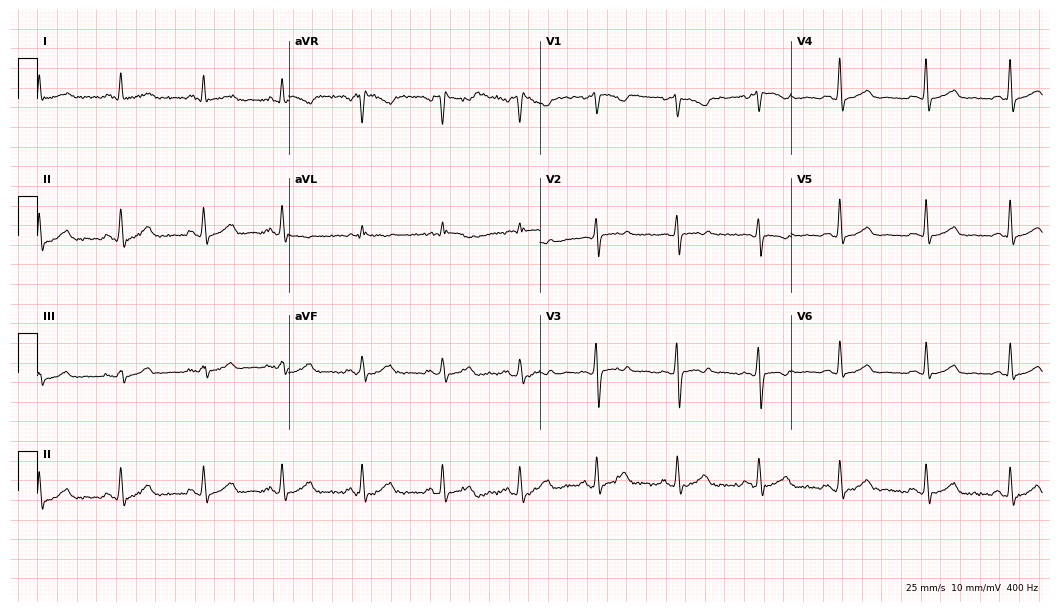
Electrocardiogram, a female patient, 52 years old. Of the six screened findings (first-degree AV block, right bundle branch block (RBBB), left bundle branch block (LBBB), sinus bradycardia, atrial fibrillation (AF), sinus tachycardia), none is recorded. Only these six findings were labelled.